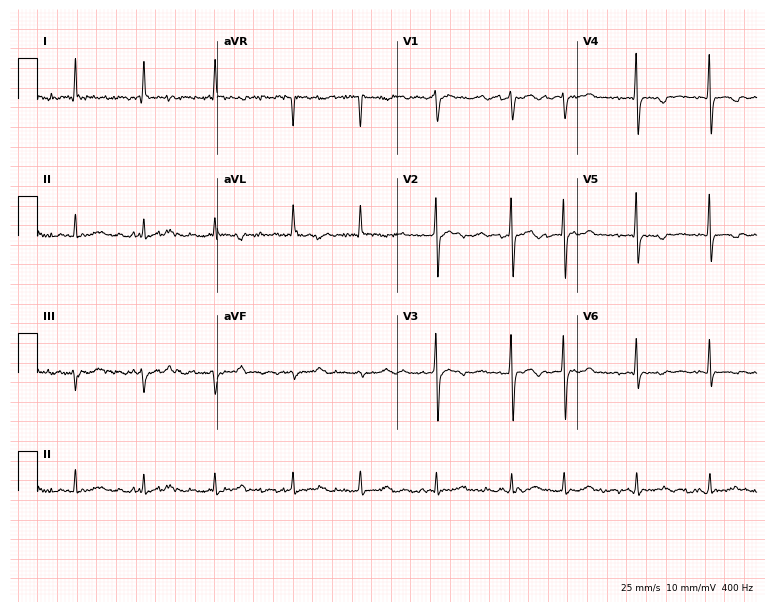
12-lead ECG (7.3-second recording at 400 Hz) from a female patient, 67 years old. Findings include atrial fibrillation.